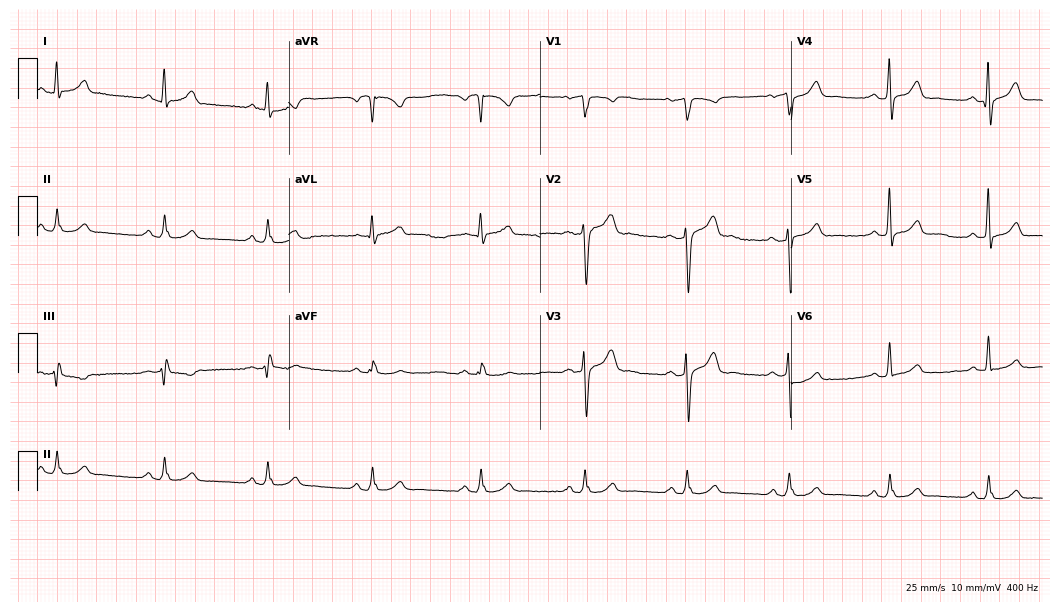
Resting 12-lead electrocardiogram. Patient: a 52-year-old man. Read as a normal ECG.